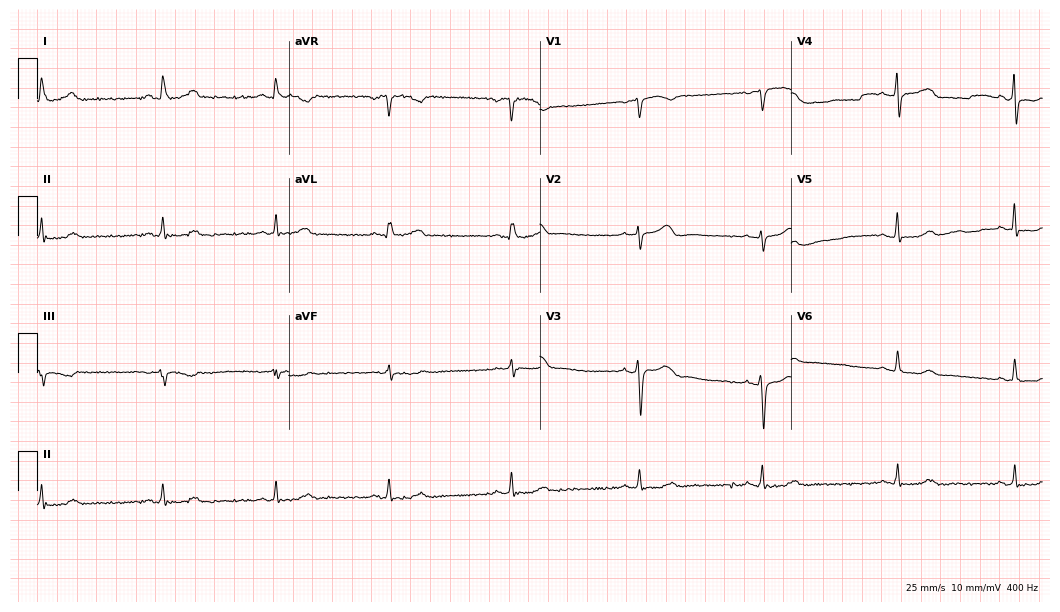
ECG — a male, 48 years old. Findings include sinus bradycardia (a sinus rate of 50 beats per minute or less).